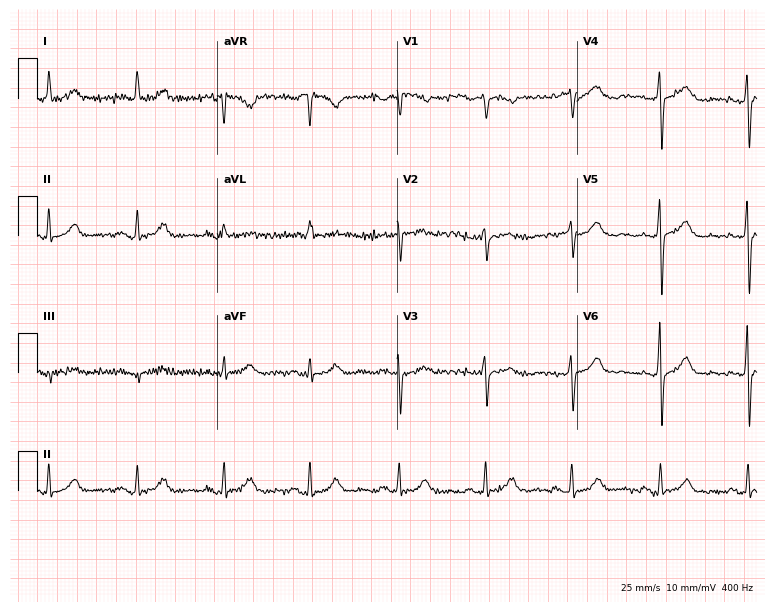
Resting 12-lead electrocardiogram. Patient: a female, 64 years old. Read as a normal ECG.